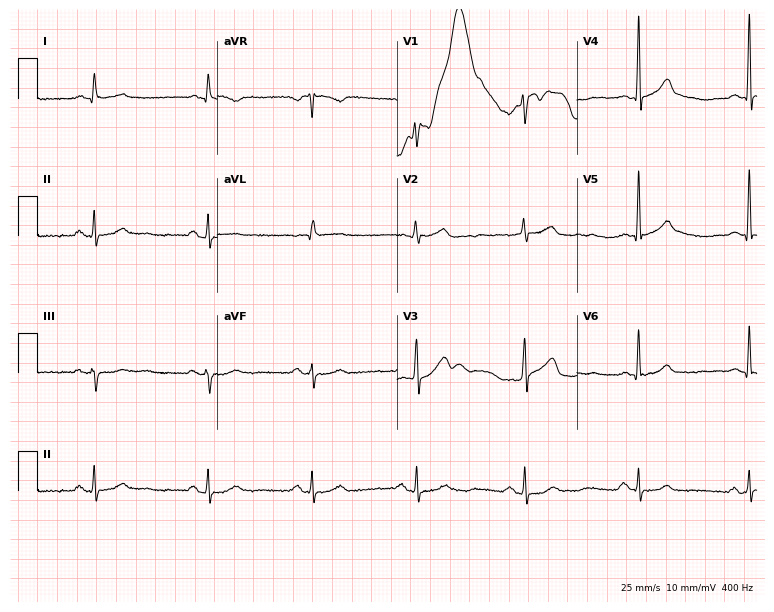
Standard 12-lead ECG recorded from a man, 61 years old. None of these six findings is recorded: first-degree AV block, right bundle branch block (RBBB), left bundle branch block (LBBB), sinus bradycardia, atrial fibrillation (AF), sinus tachycardia.